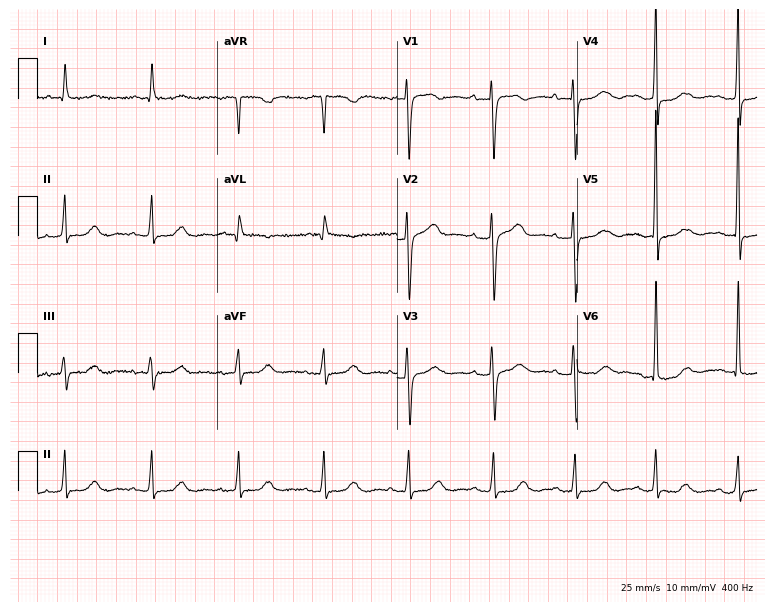
ECG (7.3-second recording at 400 Hz) — a female, 78 years old. Screened for six findings — first-degree AV block, right bundle branch block (RBBB), left bundle branch block (LBBB), sinus bradycardia, atrial fibrillation (AF), sinus tachycardia — none is recorded.